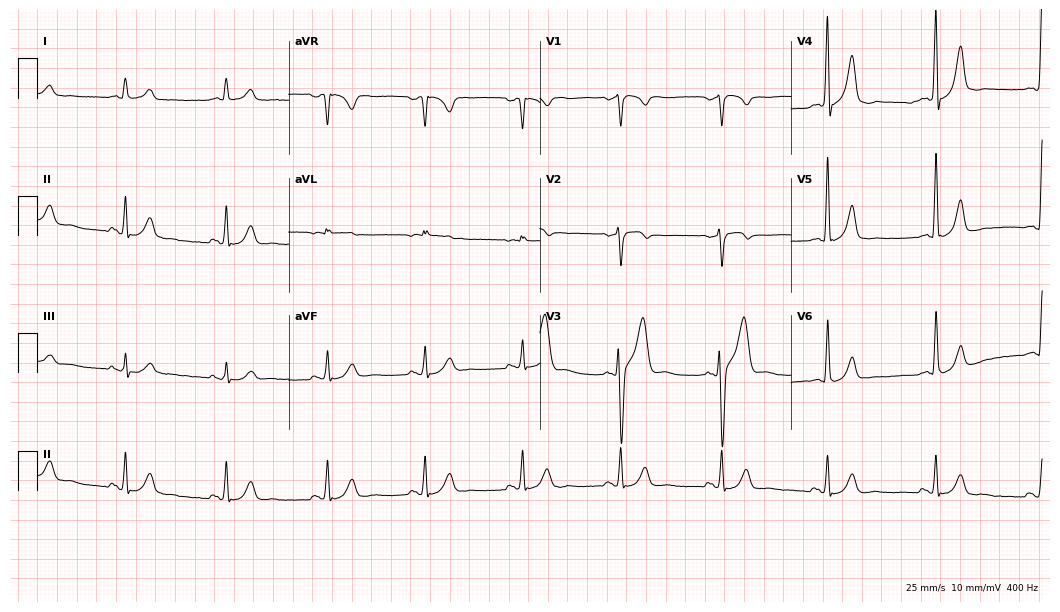
12-lead ECG from a male patient, 55 years old (10.2-second recording at 400 Hz). Recorded interpretation: within normal limits.